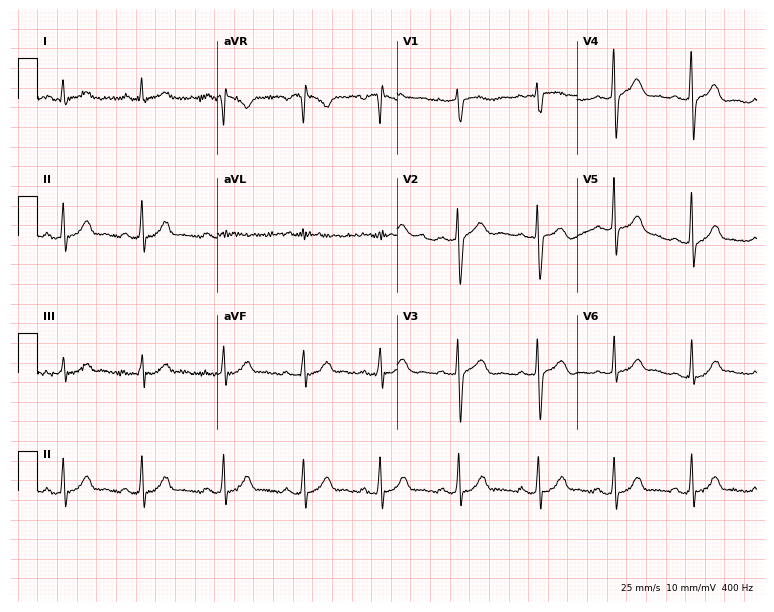
12-lead ECG from a female, 32 years old. Recorded interpretation: within normal limits.